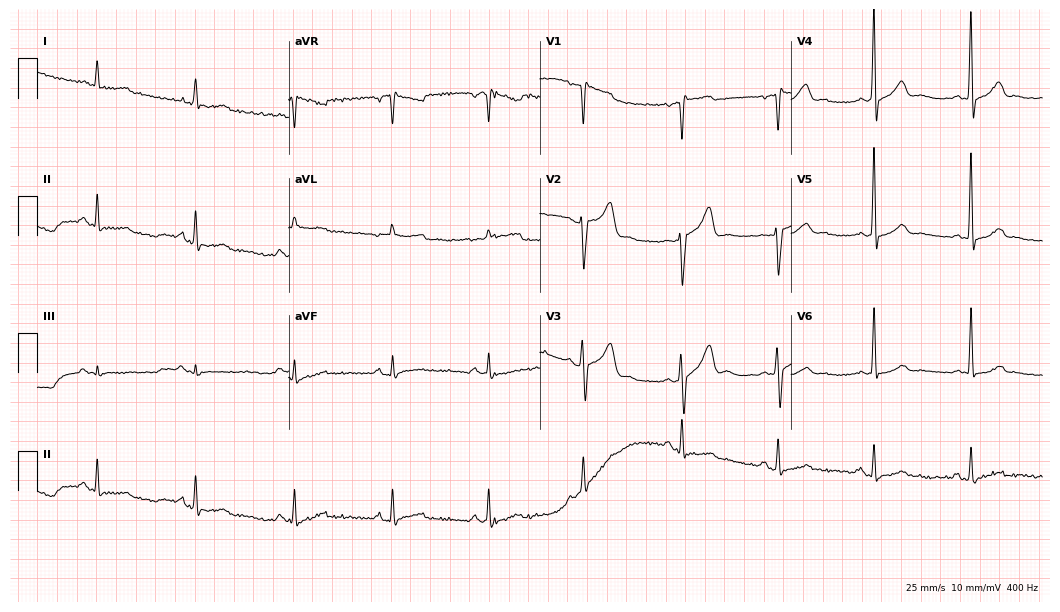
ECG (10.2-second recording at 400 Hz) — a man, 69 years old. Labelled as a normal ECG.